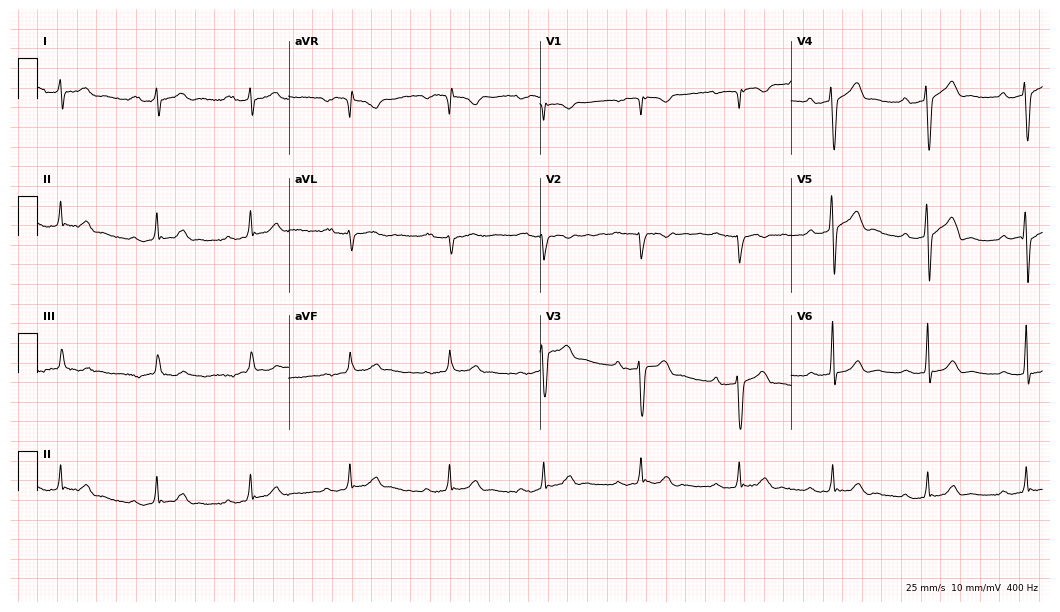
Standard 12-lead ECG recorded from a male, 27 years old. The tracing shows first-degree AV block.